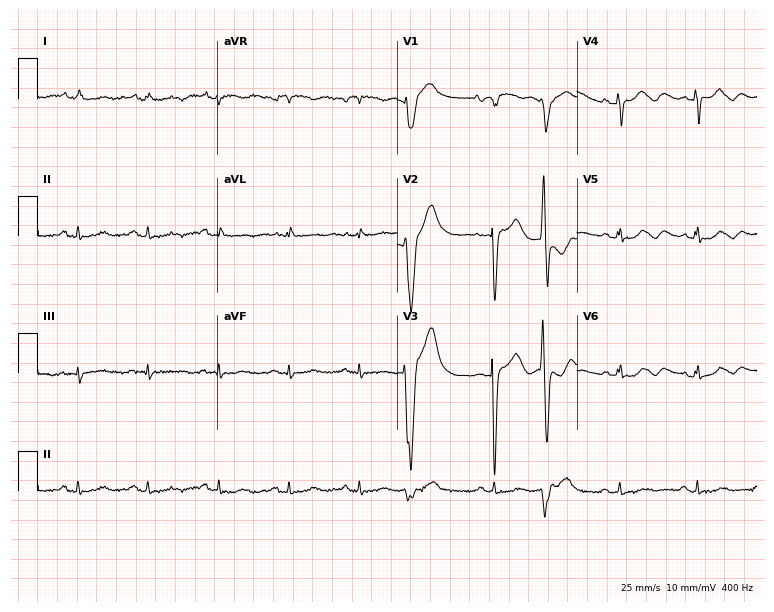
Resting 12-lead electrocardiogram (7.3-second recording at 400 Hz). Patient: a female, 83 years old. None of these six findings is recorded: first-degree AV block, right bundle branch block, left bundle branch block, sinus bradycardia, atrial fibrillation, sinus tachycardia. Only these six findings were labelled.